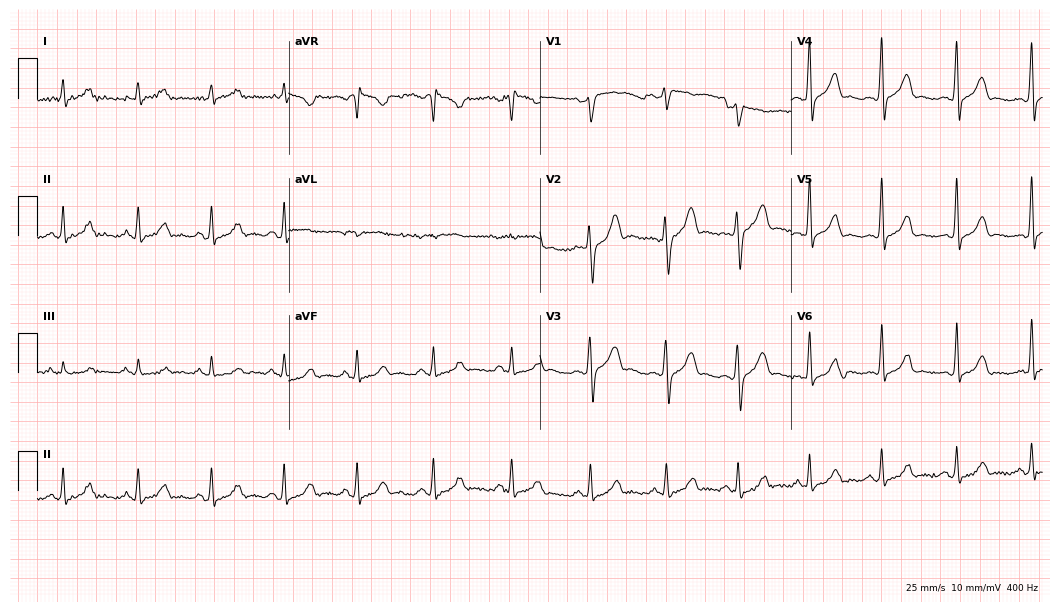
ECG (10.2-second recording at 400 Hz) — a 31-year-old male. Labelled as a normal ECG.